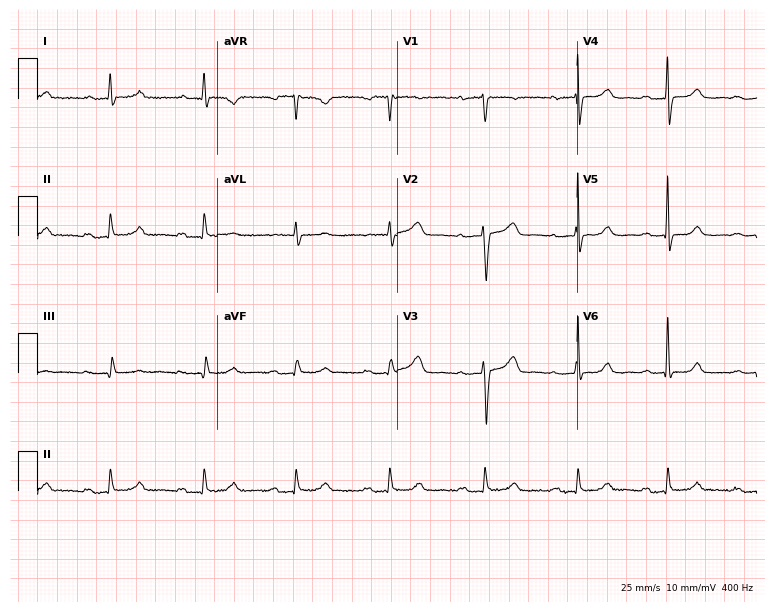
Resting 12-lead electrocardiogram. Patient: a 47-year-old female. The tracing shows first-degree AV block.